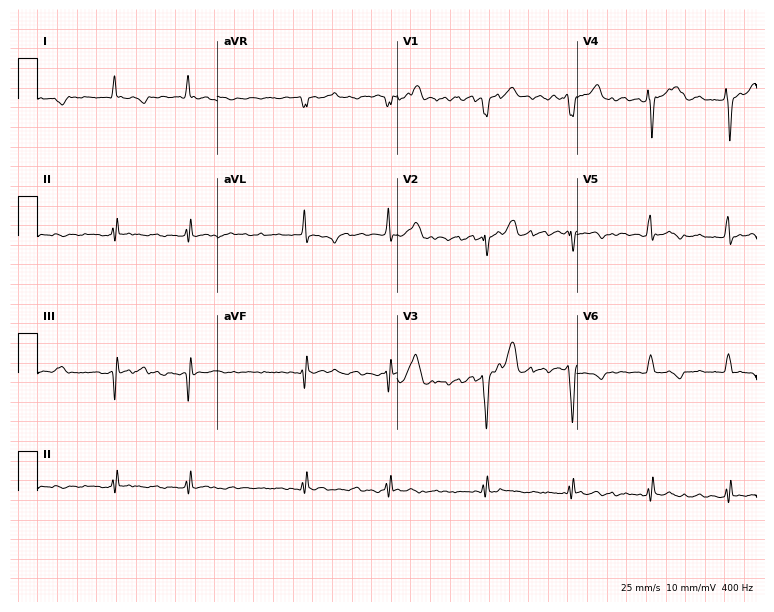
12-lead ECG from a female, 59 years old (7.3-second recording at 400 Hz). No first-degree AV block, right bundle branch block (RBBB), left bundle branch block (LBBB), sinus bradycardia, atrial fibrillation (AF) or sinus tachycardia recorded for this tracing.